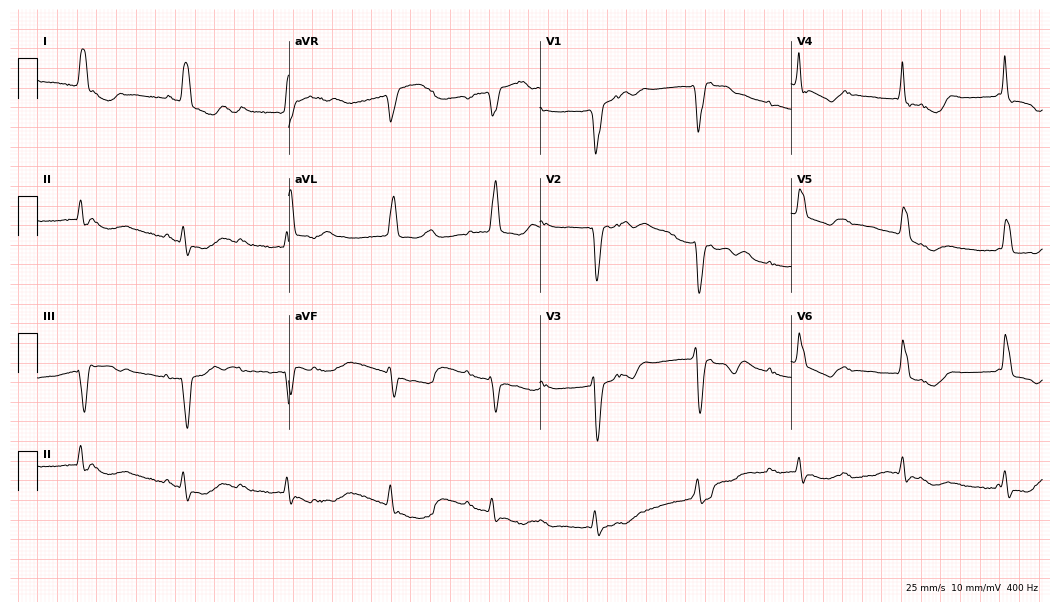
Standard 12-lead ECG recorded from a female, 80 years old (10.2-second recording at 400 Hz). None of these six findings is recorded: first-degree AV block, right bundle branch block (RBBB), left bundle branch block (LBBB), sinus bradycardia, atrial fibrillation (AF), sinus tachycardia.